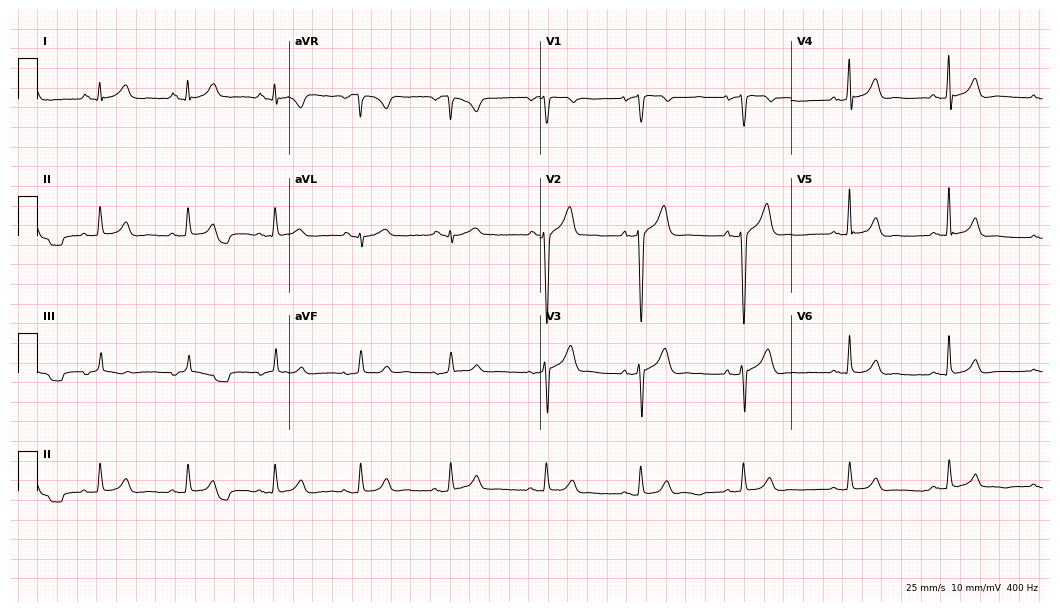
Resting 12-lead electrocardiogram. Patient: a 58-year-old man. Read as a normal ECG.